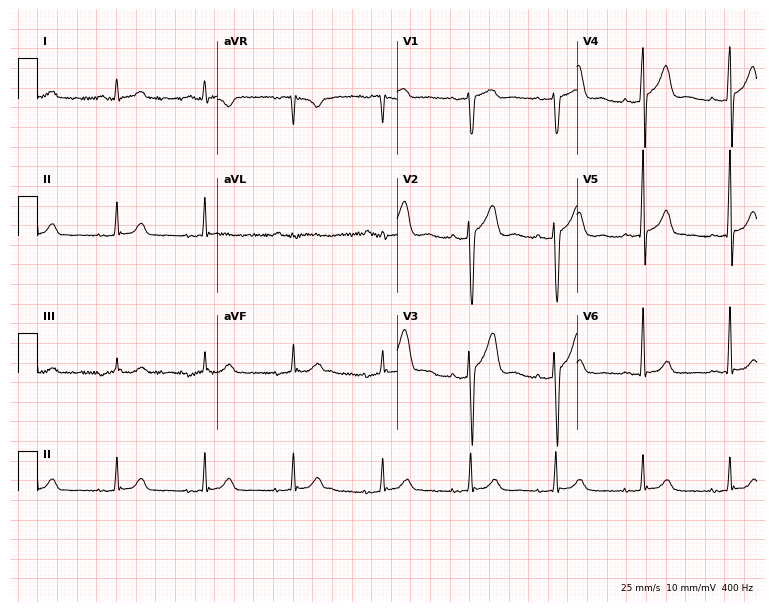
Standard 12-lead ECG recorded from a man, 40 years old (7.3-second recording at 400 Hz). Read as a normal ECG.